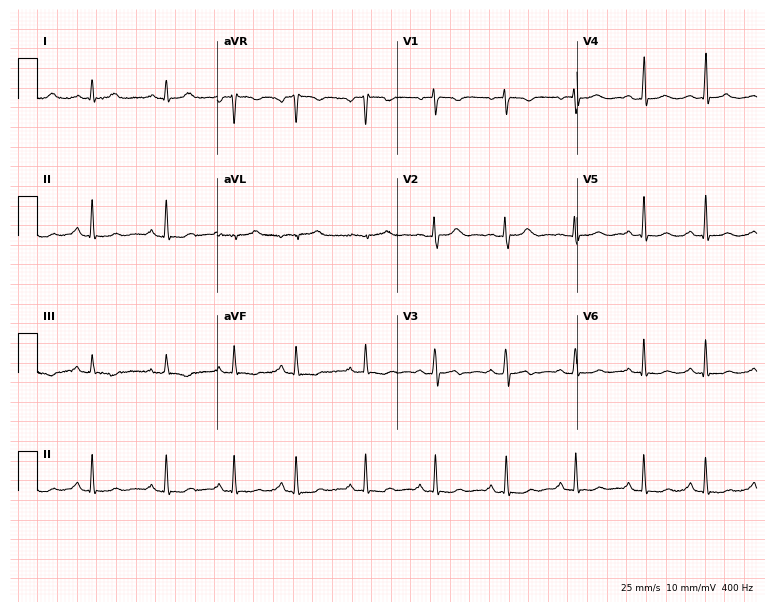
12-lead ECG from a female patient, 24 years old. Screened for six findings — first-degree AV block, right bundle branch block, left bundle branch block, sinus bradycardia, atrial fibrillation, sinus tachycardia — none is recorded.